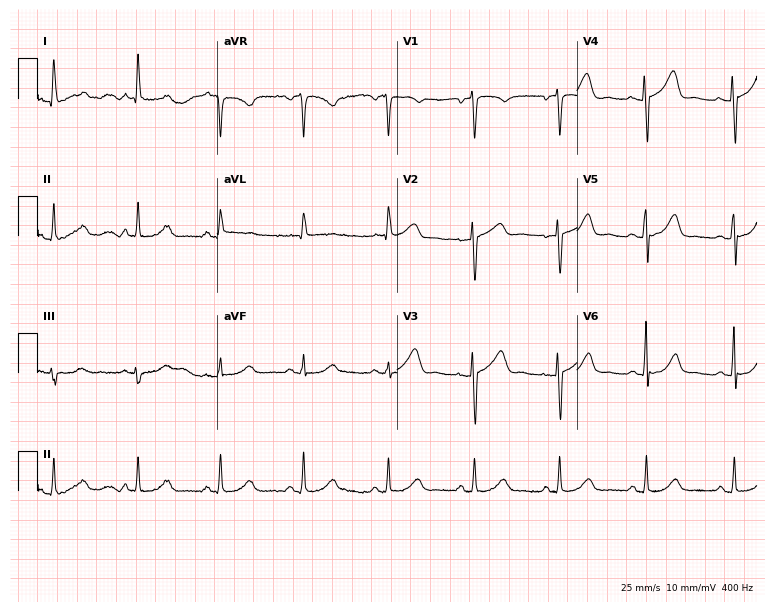
Standard 12-lead ECG recorded from a female, 60 years old. None of these six findings is recorded: first-degree AV block, right bundle branch block, left bundle branch block, sinus bradycardia, atrial fibrillation, sinus tachycardia. Only these six findings were labelled.